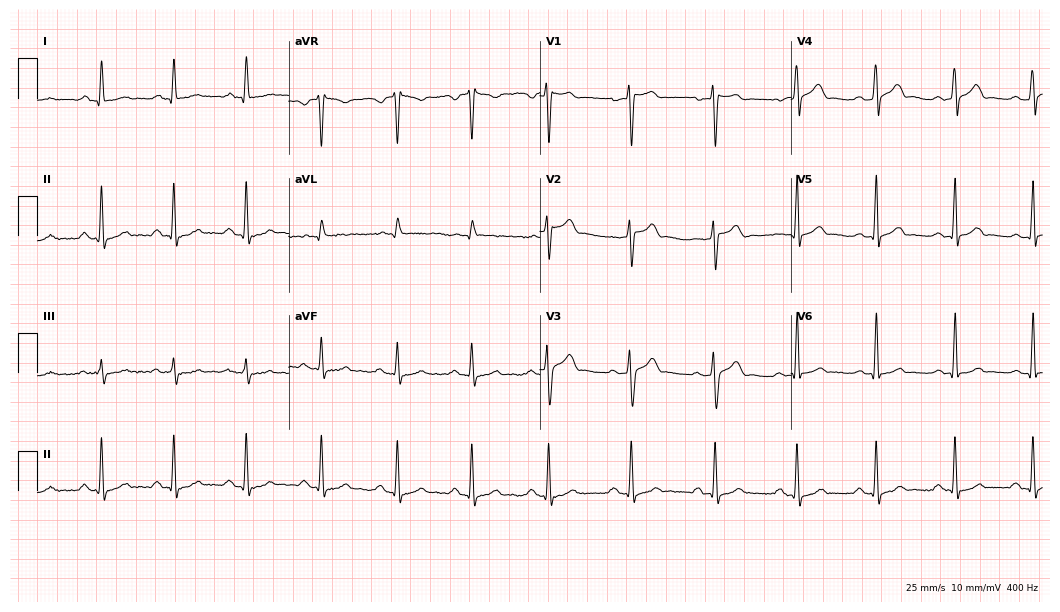
Standard 12-lead ECG recorded from a male, 23 years old (10.2-second recording at 400 Hz). Read as a normal ECG.